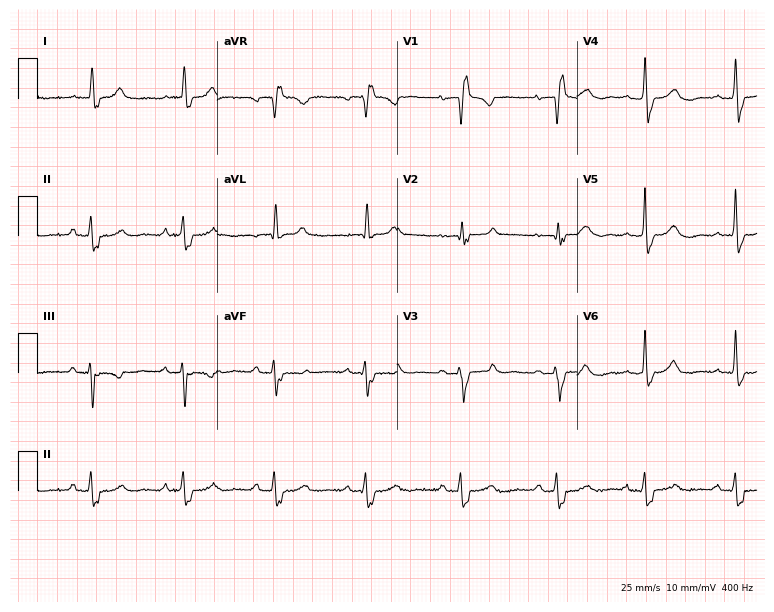
12-lead ECG (7.3-second recording at 400 Hz) from a 69-year-old female. Findings include right bundle branch block.